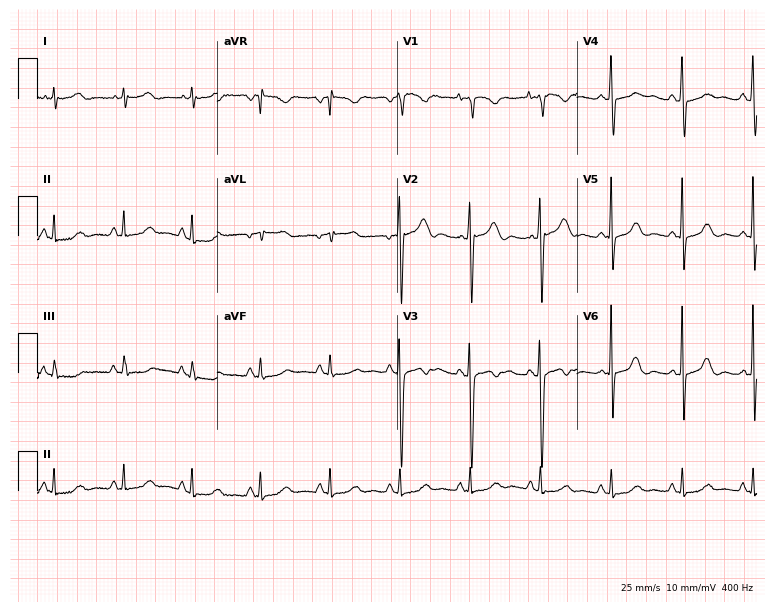
Standard 12-lead ECG recorded from a female, 72 years old (7.3-second recording at 400 Hz). Read as a normal ECG.